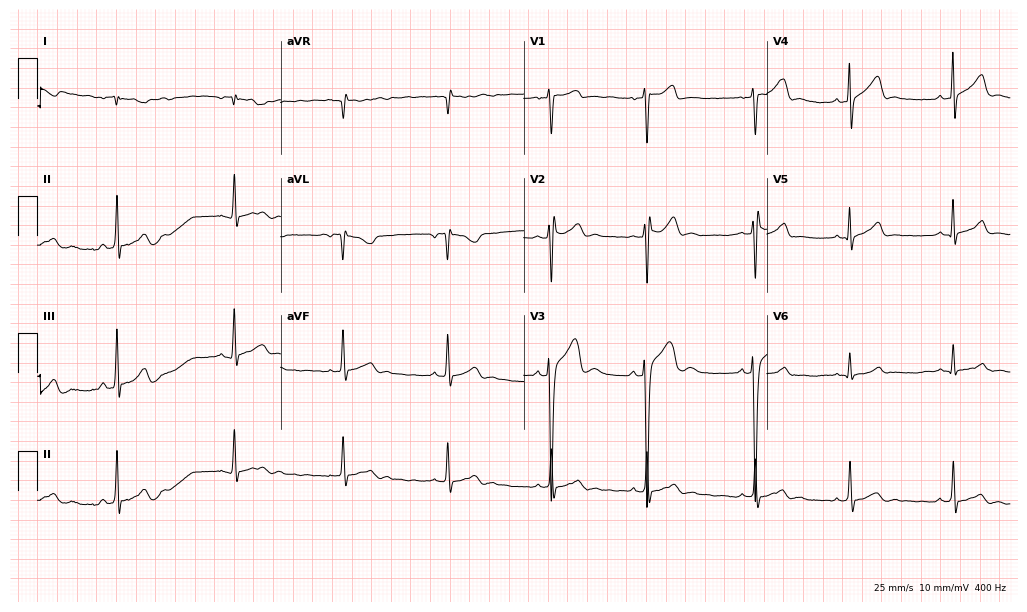
Standard 12-lead ECG recorded from a 19-year-old male. None of these six findings is recorded: first-degree AV block, right bundle branch block (RBBB), left bundle branch block (LBBB), sinus bradycardia, atrial fibrillation (AF), sinus tachycardia. Other findings, if any, are not listed.